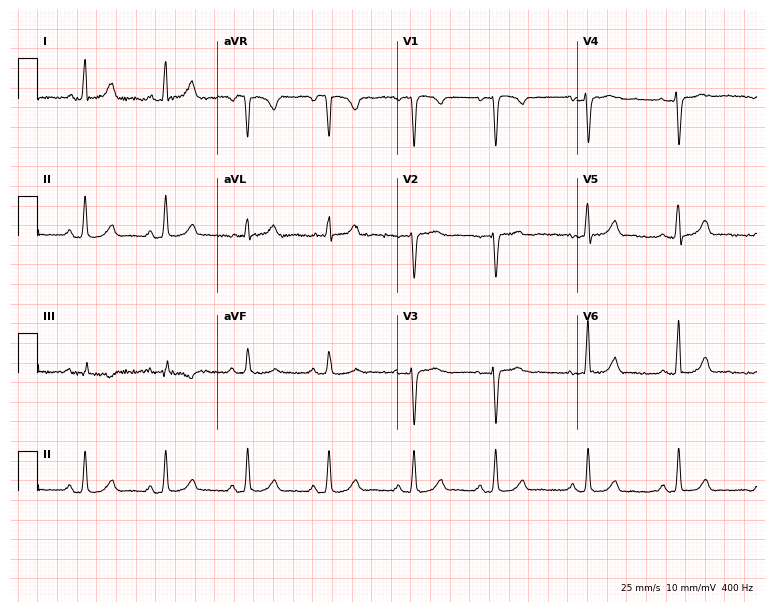
ECG (7.3-second recording at 400 Hz) — a 41-year-old female patient. Screened for six findings — first-degree AV block, right bundle branch block, left bundle branch block, sinus bradycardia, atrial fibrillation, sinus tachycardia — none is recorded.